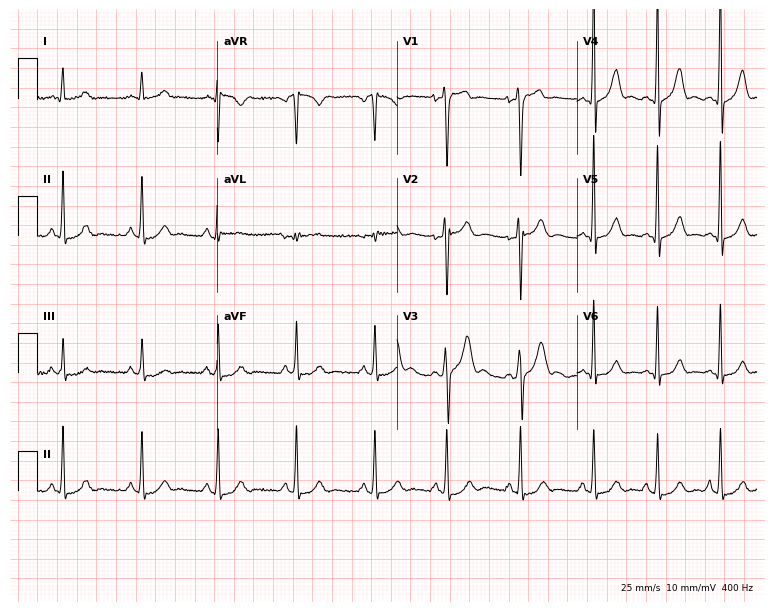
12-lead ECG from a male, 18 years old. Recorded interpretation: within normal limits.